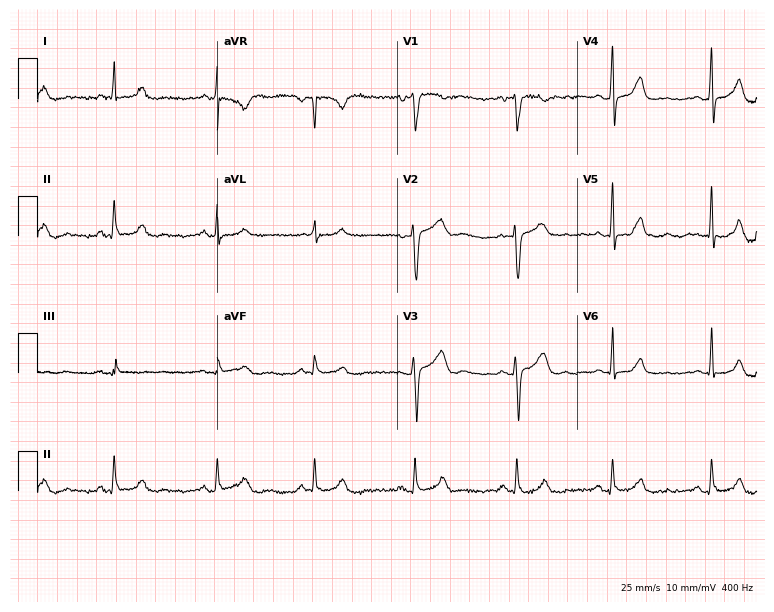
ECG — a female patient, 44 years old. Screened for six findings — first-degree AV block, right bundle branch block, left bundle branch block, sinus bradycardia, atrial fibrillation, sinus tachycardia — none is recorded.